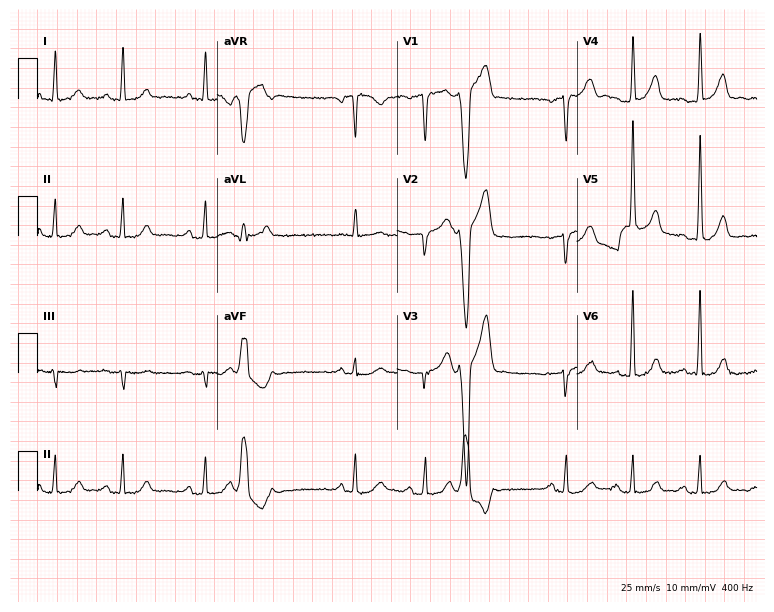
ECG — a man, 56 years old. Screened for six findings — first-degree AV block, right bundle branch block (RBBB), left bundle branch block (LBBB), sinus bradycardia, atrial fibrillation (AF), sinus tachycardia — none is recorded. Only these six findings were labelled.